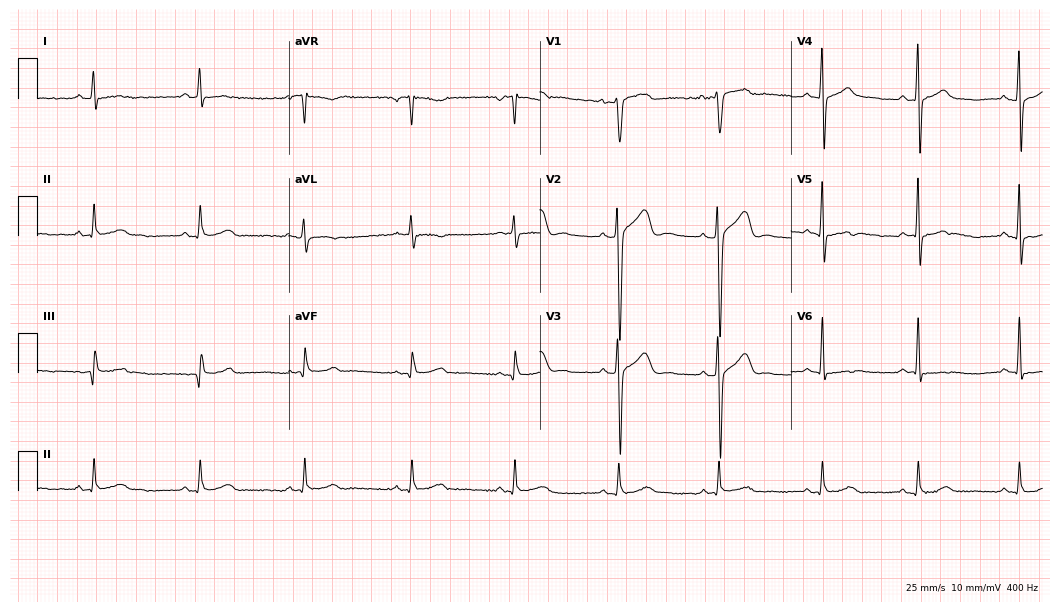
12-lead ECG (10.2-second recording at 400 Hz) from a male patient, 25 years old. Labelled as a normal ECG.